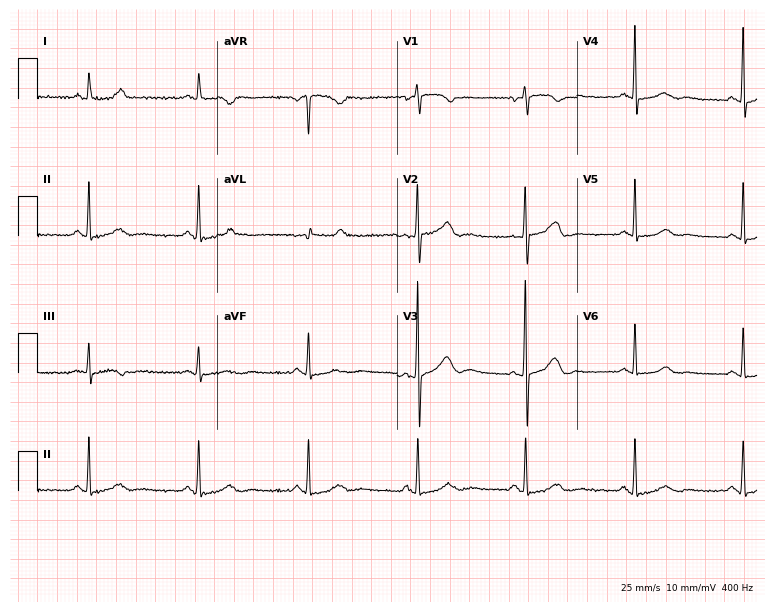
Standard 12-lead ECG recorded from a 66-year-old female patient. None of these six findings is recorded: first-degree AV block, right bundle branch block (RBBB), left bundle branch block (LBBB), sinus bradycardia, atrial fibrillation (AF), sinus tachycardia.